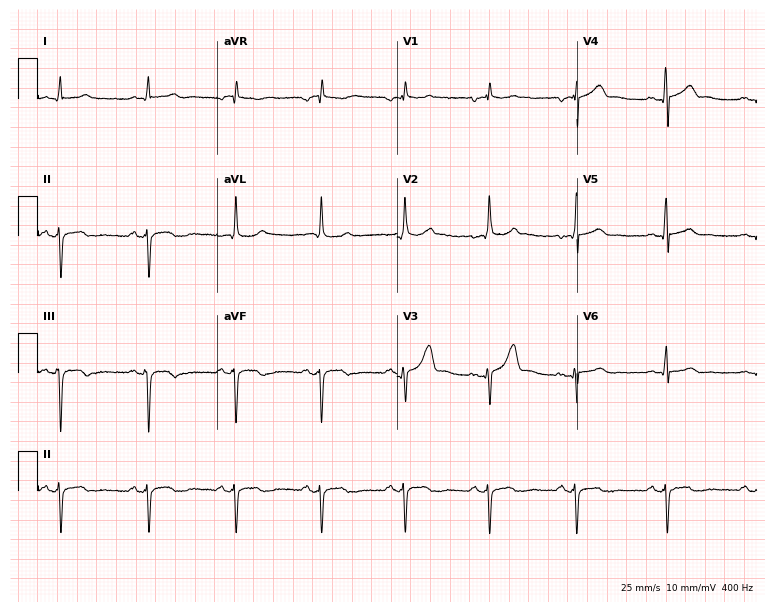
ECG — a man, 39 years old. Screened for six findings — first-degree AV block, right bundle branch block (RBBB), left bundle branch block (LBBB), sinus bradycardia, atrial fibrillation (AF), sinus tachycardia — none is recorded.